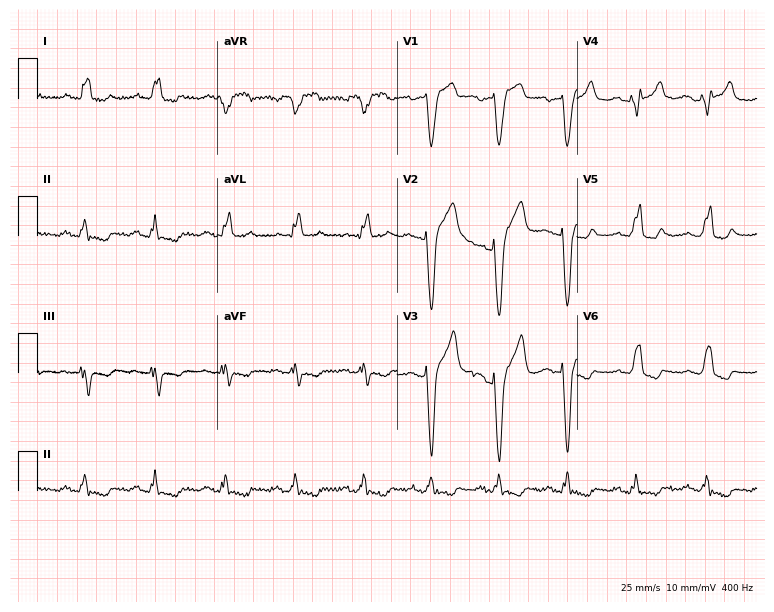
12-lead ECG from a male, 74 years old. Shows left bundle branch block.